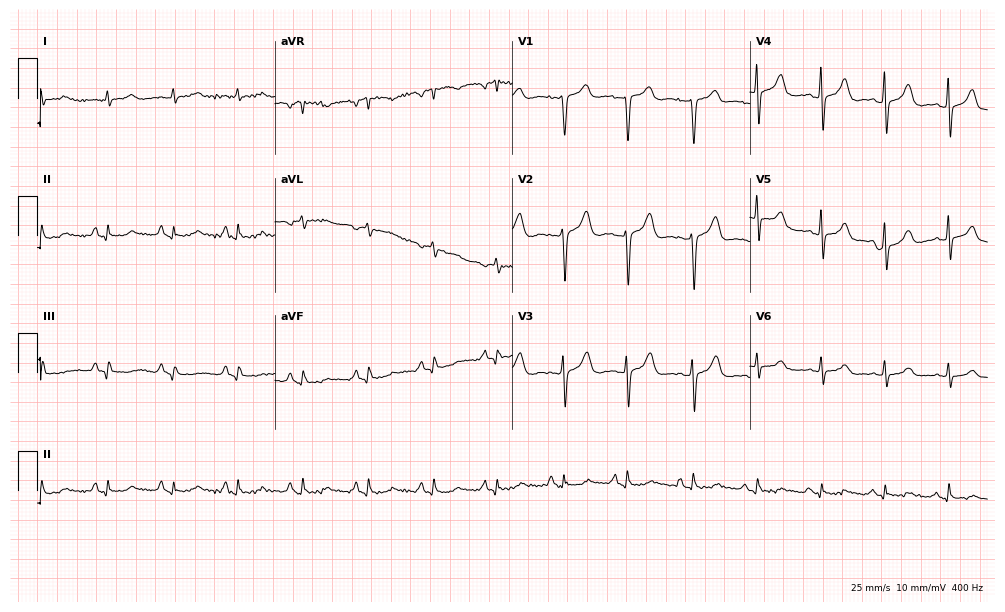
Electrocardiogram, a female patient, 76 years old. Of the six screened findings (first-degree AV block, right bundle branch block, left bundle branch block, sinus bradycardia, atrial fibrillation, sinus tachycardia), none is recorded. Only these six findings were labelled.